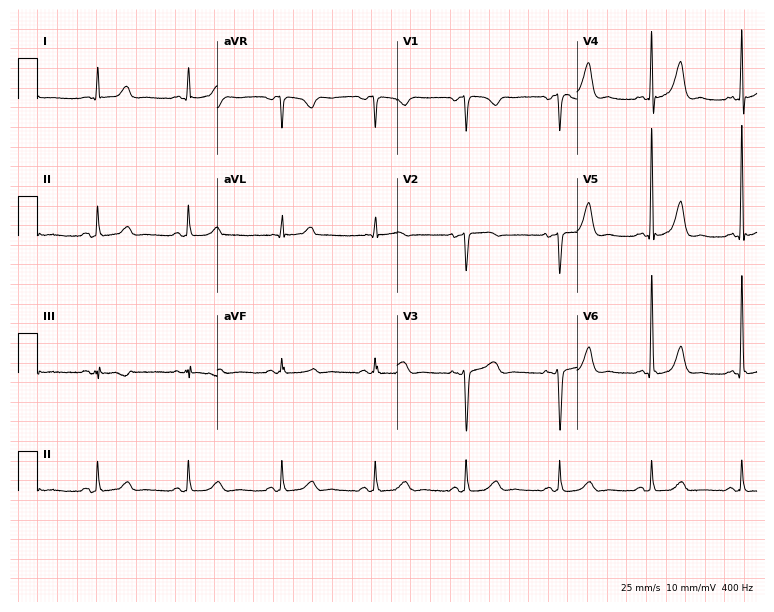
12-lead ECG from a woman, 72 years old. Recorded interpretation: within normal limits.